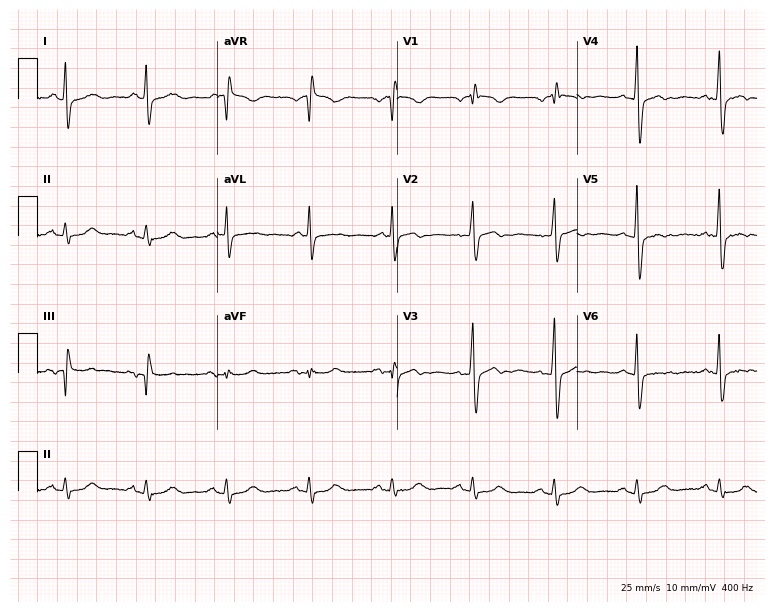
ECG (7.3-second recording at 400 Hz) — a male patient, 73 years old. Screened for six findings — first-degree AV block, right bundle branch block (RBBB), left bundle branch block (LBBB), sinus bradycardia, atrial fibrillation (AF), sinus tachycardia — none is recorded.